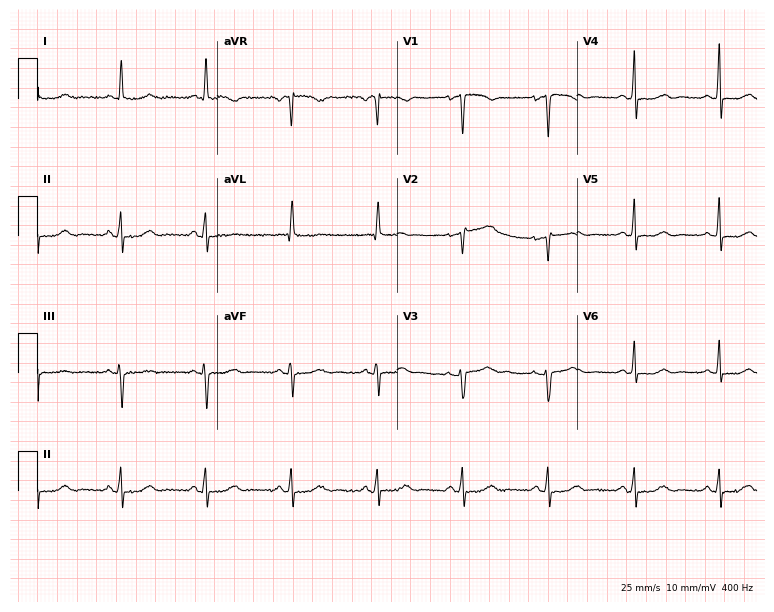
Resting 12-lead electrocardiogram (7.3-second recording at 400 Hz). Patient: a woman, 64 years old. Read as a normal ECG.